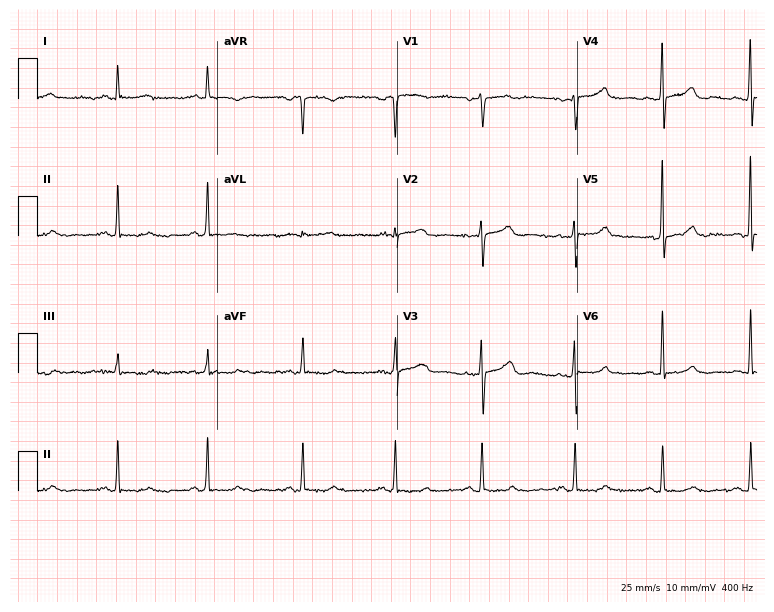
Standard 12-lead ECG recorded from a 48-year-old woman (7.3-second recording at 400 Hz). Read as a normal ECG.